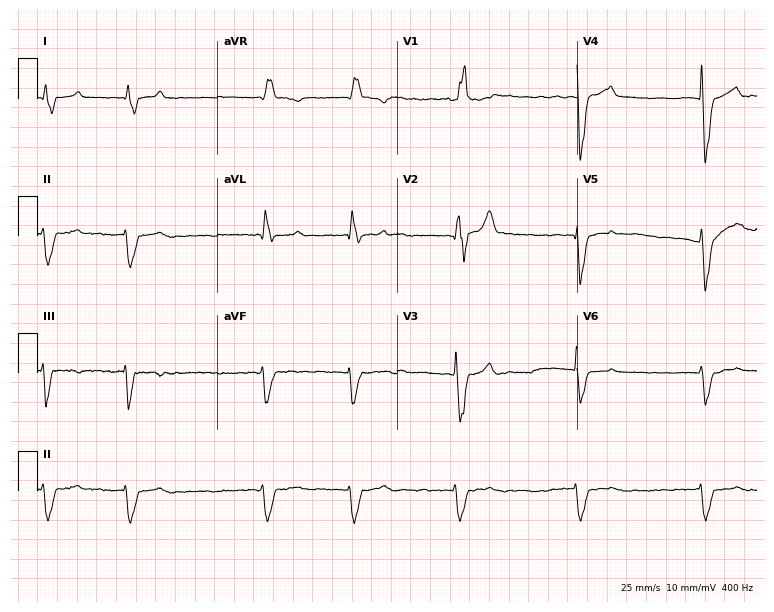
Standard 12-lead ECG recorded from a male, 67 years old. The tracing shows right bundle branch block (RBBB), atrial fibrillation (AF).